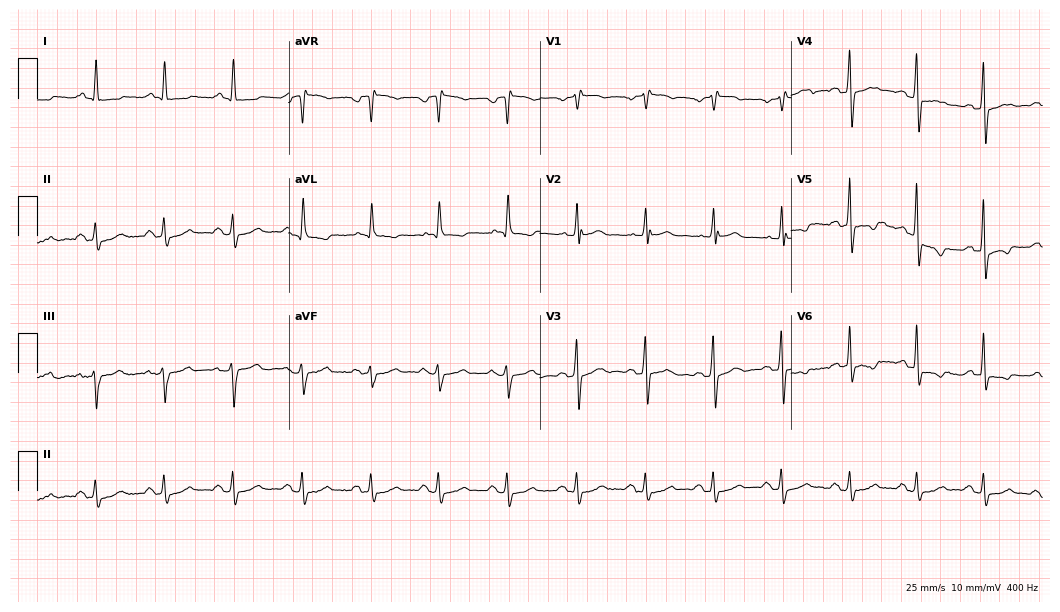
Electrocardiogram (10.2-second recording at 400 Hz), a male, 64 years old. Of the six screened findings (first-degree AV block, right bundle branch block, left bundle branch block, sinus bradycardia, atrial fibrillation, sinus tachycardia), none is recorded.